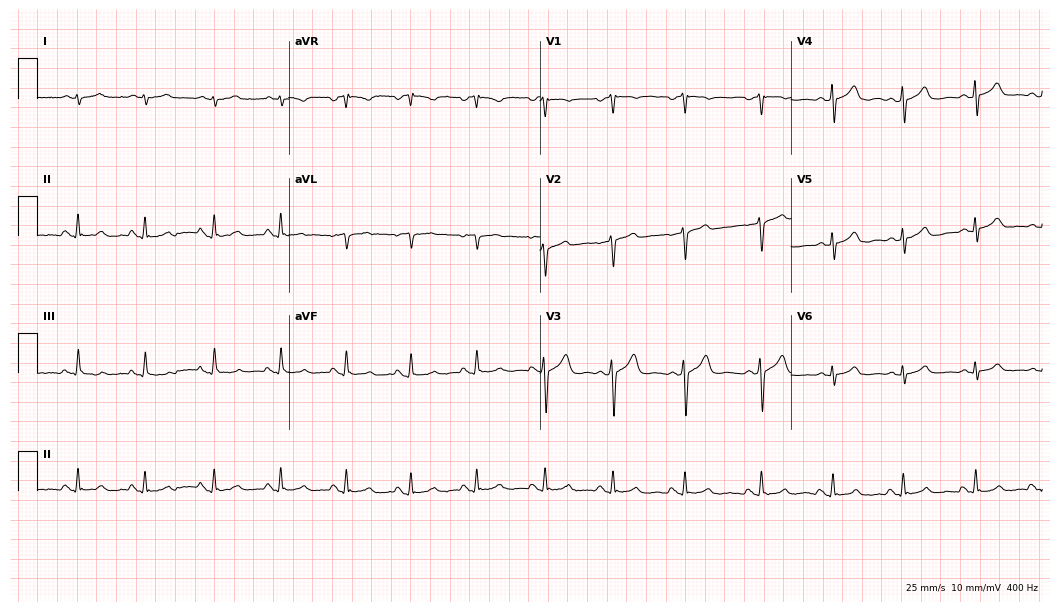
ECG (10.2-second recording at 400 Hz) — a 41-year-old man. Screened for six findings — first-degree AV block, right bundle branch block (RBBB), left bundle branch block (LBBB), sinus bradycardia, atrial fibrillation (AF), sinus tachycardia — none is recorded.